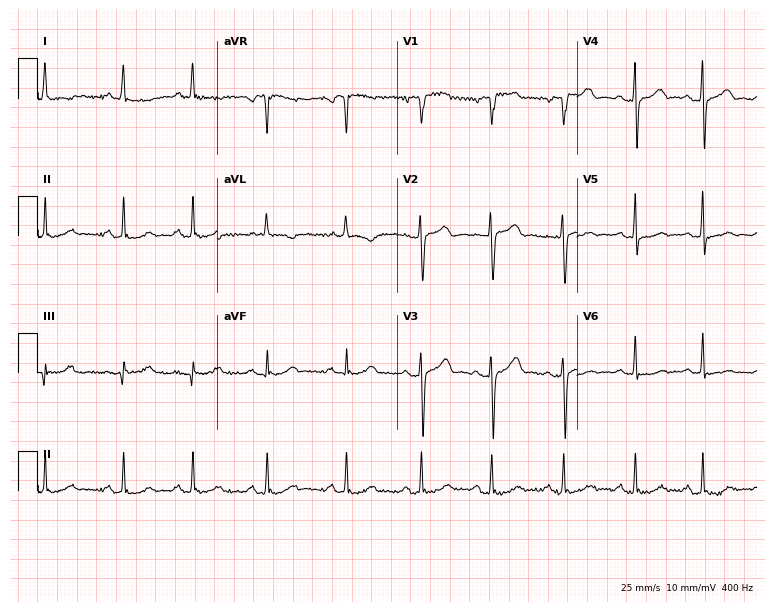
ECG — a female patient, 57 years old. Screened for six findings — first-degree AV block, right bundle branch block, left bundle branch block, sinus bradycardia, atrial fibrillation, sinus tachycardia — none is recorded. Other findings, if any, are not listed.